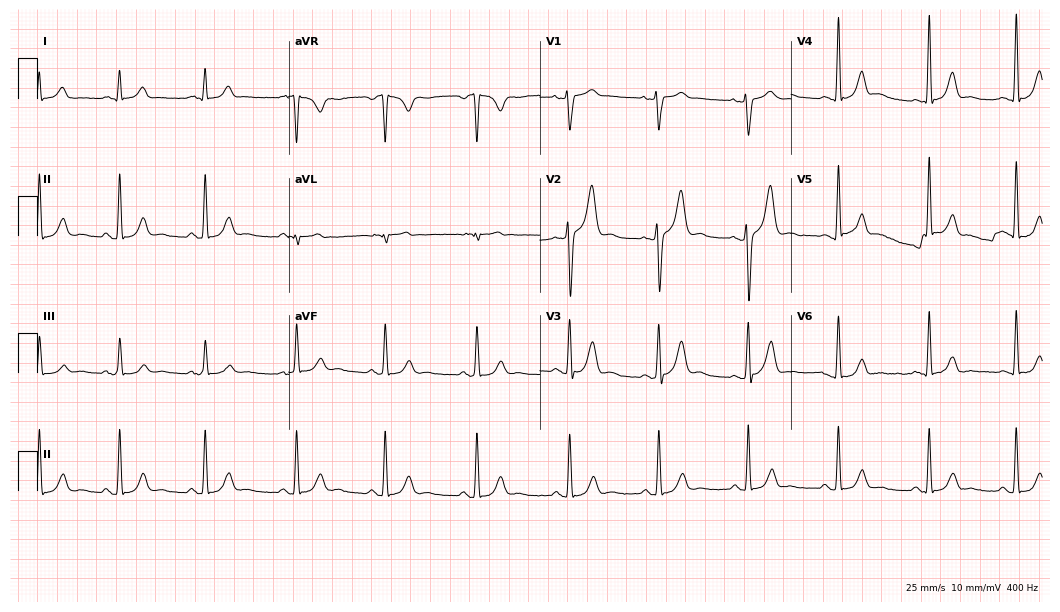
ECG (10.2-second recording at 400 Hz) — a male, 51 years old. Labelled as a normal ECG.